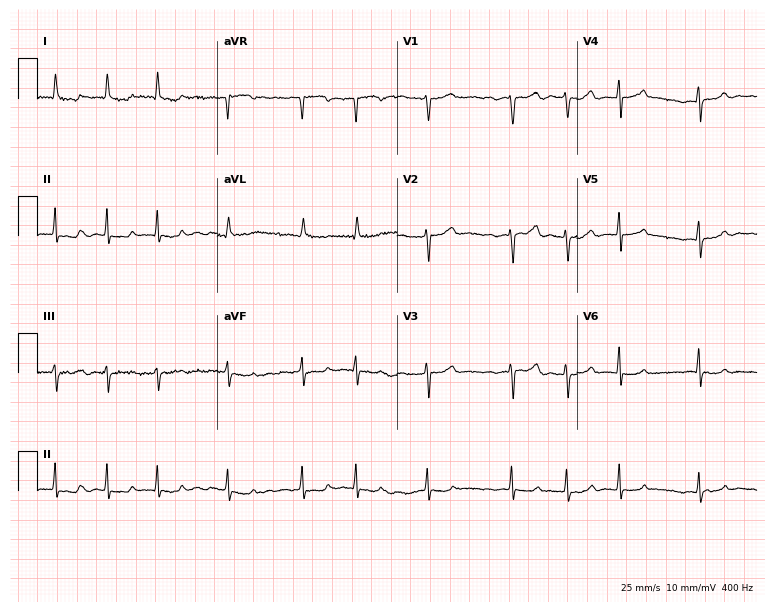
Resting 12-lead electrocardiogram. Patient: a 65-year-old woman. The tracing shows atrial fibrillation.